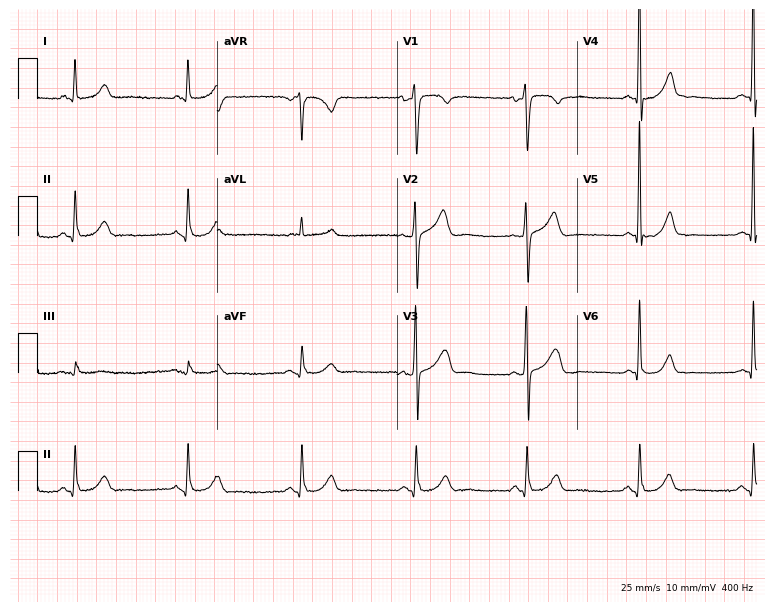
Standard 12-lead ECG recorded from a male patient, 52 years old. None of these six findings is recorded: first-degree AV block, right bundle branch block (RBBB), left bundle branch block (LBBB), sinus bradycardia, atrial fibrillation (AF), sinus tachycardia.